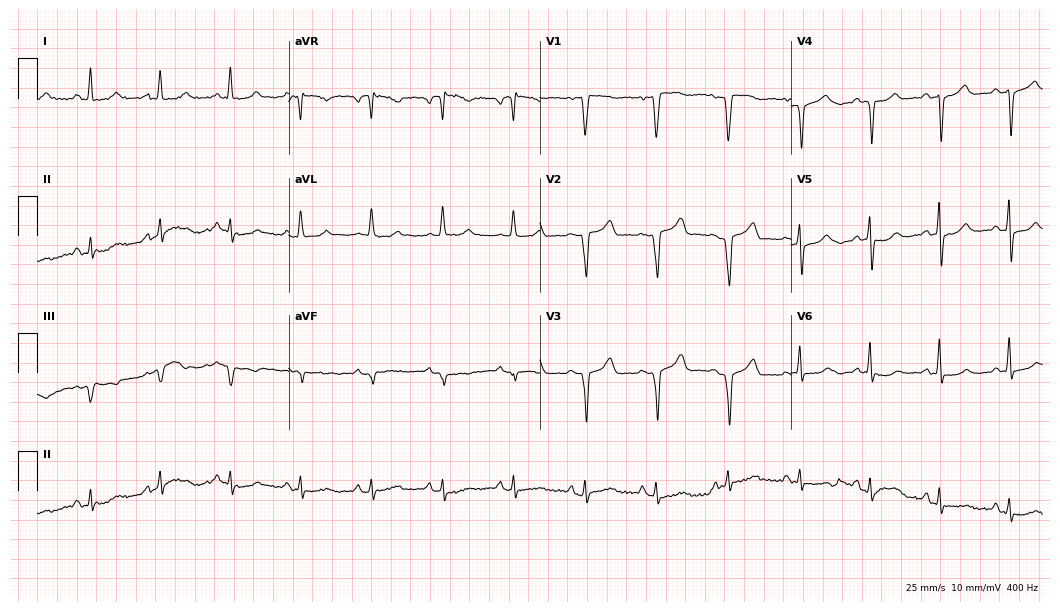
Standard 12-lead ECG recorded from a 50-year-old female. None of these six findings is recorded: first-degree AV block, right bundle branch block, left bundle branch block, sinus bradycardia, atrial fibrillation, sinus tachycardia.